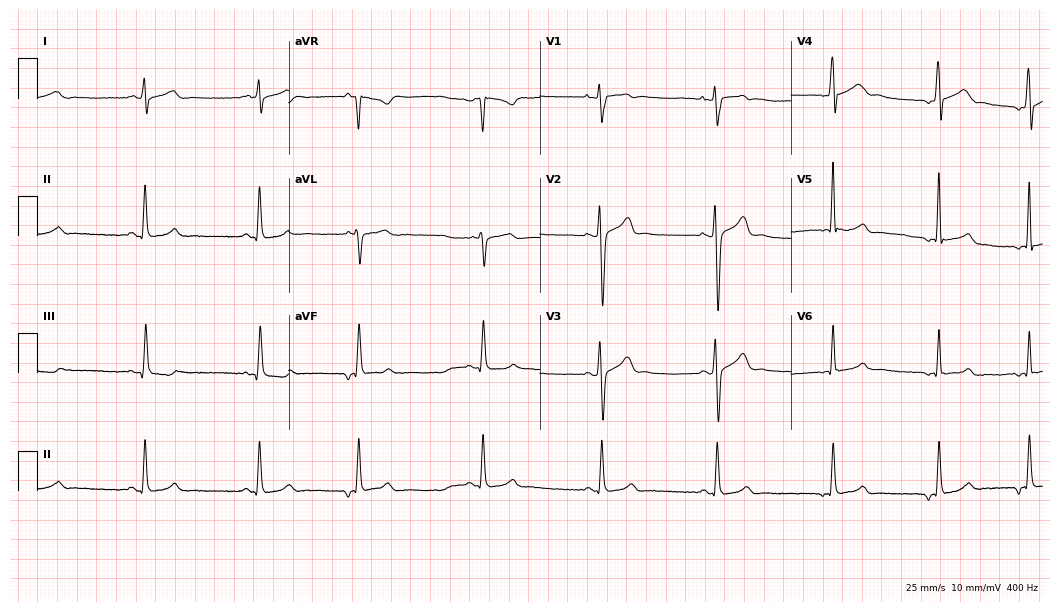
Resting 12-lead electrocardiogram (10.2-second recording at 400 Hz). Patient: a male, 34 years old. None of these six findings is recorded: first-degree AV block, right bundle branch block, left bundle branch block, sinus bradycardia, atrial fibrillation, sinus tachycardia. Findings outside these six are not listed.